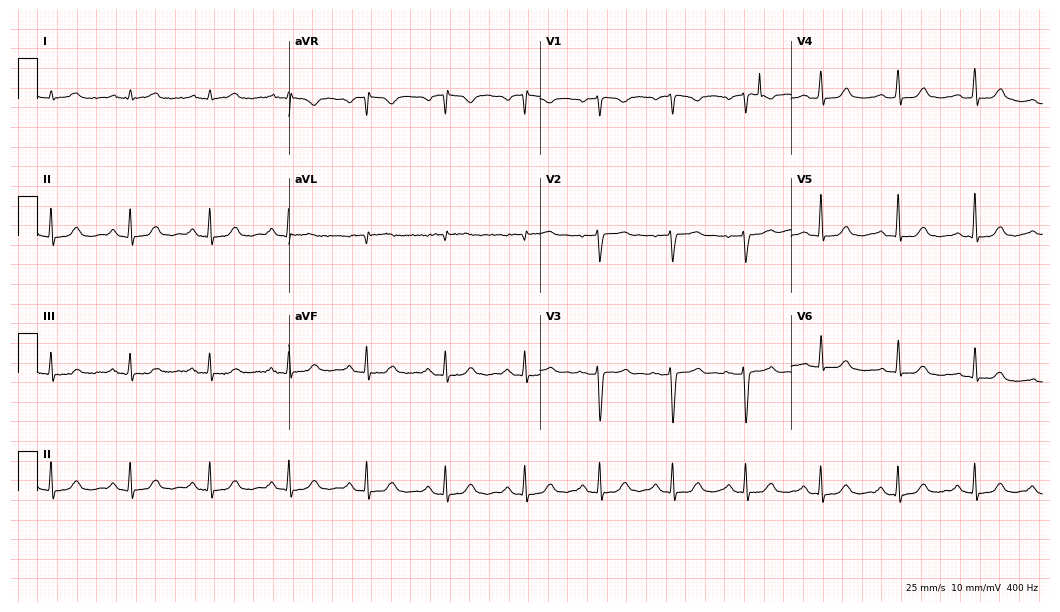
Resting 12-lead electrocardiogram (10.2-second recording at 400 Hz). Patient: a 34-year-old woman. Read as a normal ECG.